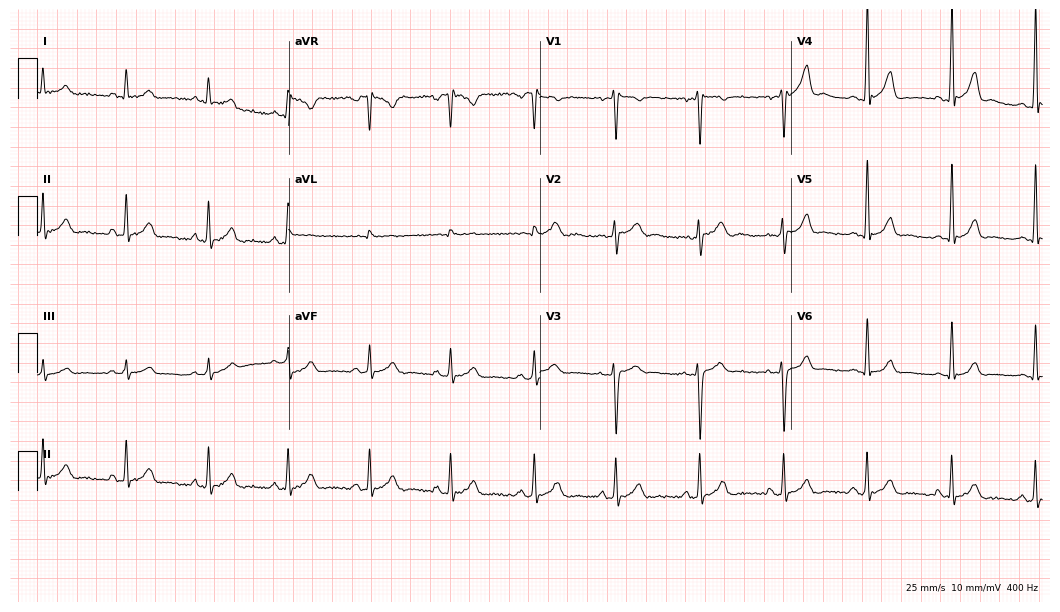
Electrocardiogram, a 23-year-old male patient. Overall reading on record: normal ECG.